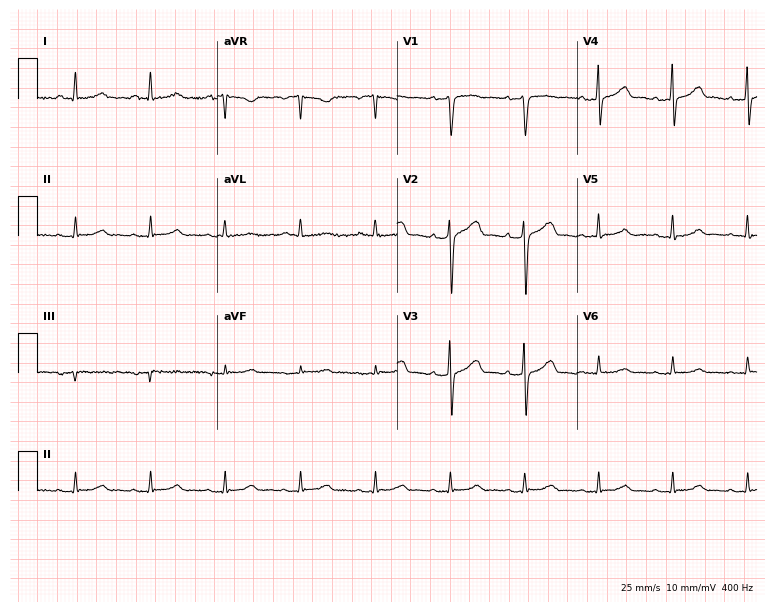
Standard 12-lead ECG recorded from a 55-year-old man (7.3-second recording at 400 Hz). None of these six findings is recorded: first-degree AV block, right bundle branch block, left bundle branch block, sinus bradycardia, atrial fibrillation, sinus tachycardia.